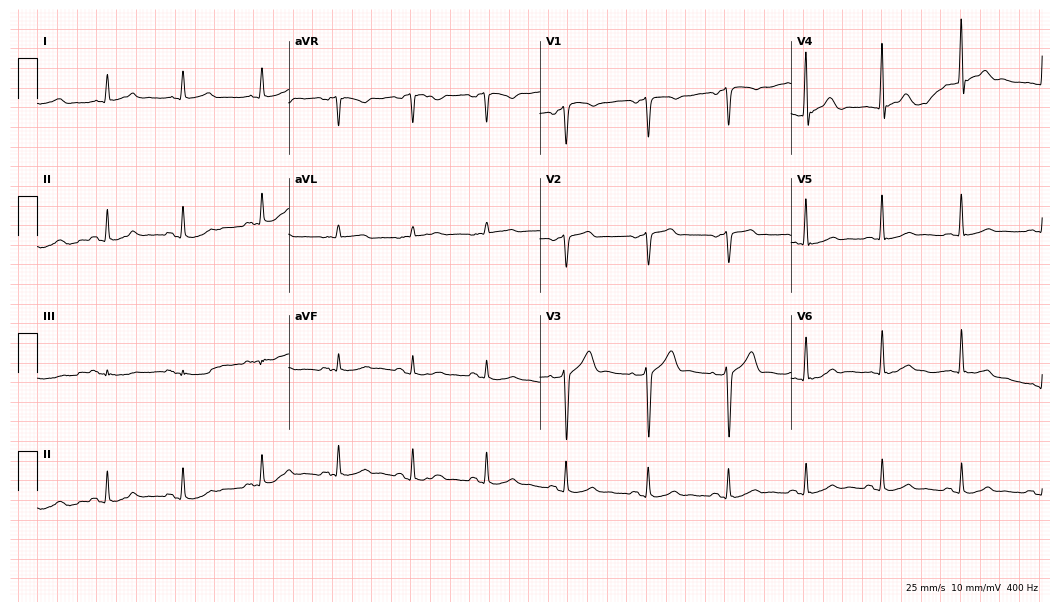
12-lead ECG from a 53-year-old male. Recorded interpretation: within normal limits.